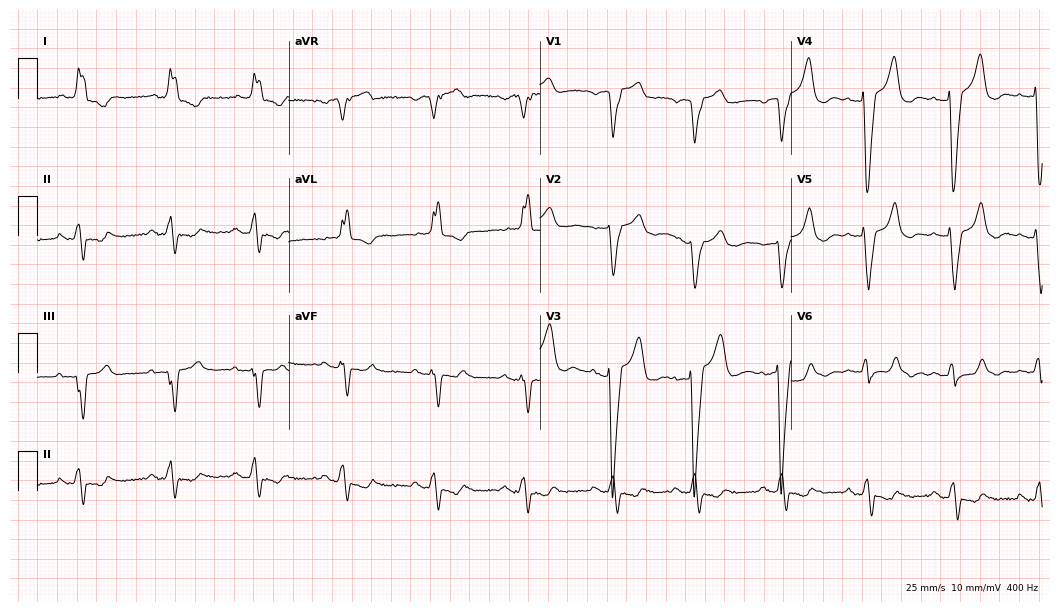
12-lead ECG from a 70-year-old woman. Shows left bundle branch block.